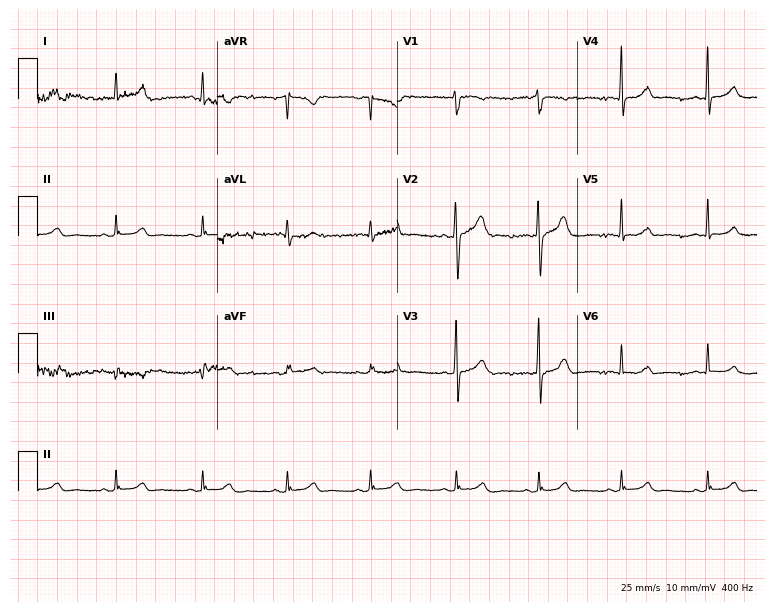
12-lead ECG from a man, 35 years old. Recorded interpretation: within normal limits.